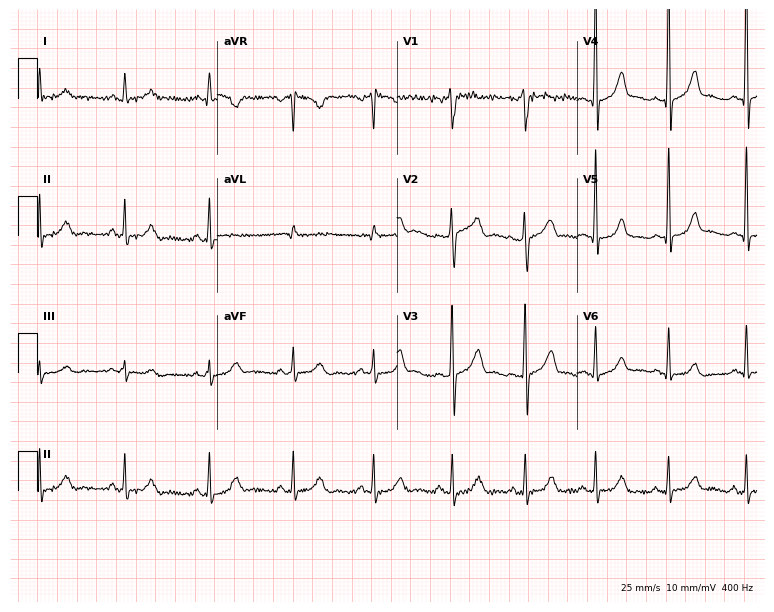
Resting 12-lead electrocardiogram (7.3-second recording at 400 Hz). Patient: a 47-year-old man. None of these six findings is recorded: first-degree AV block, right bundle branch block, left bundle branch block, sinus bradycardia, atrial fibrillation, sinus tachycardia. Other findings, if any, are not listed.